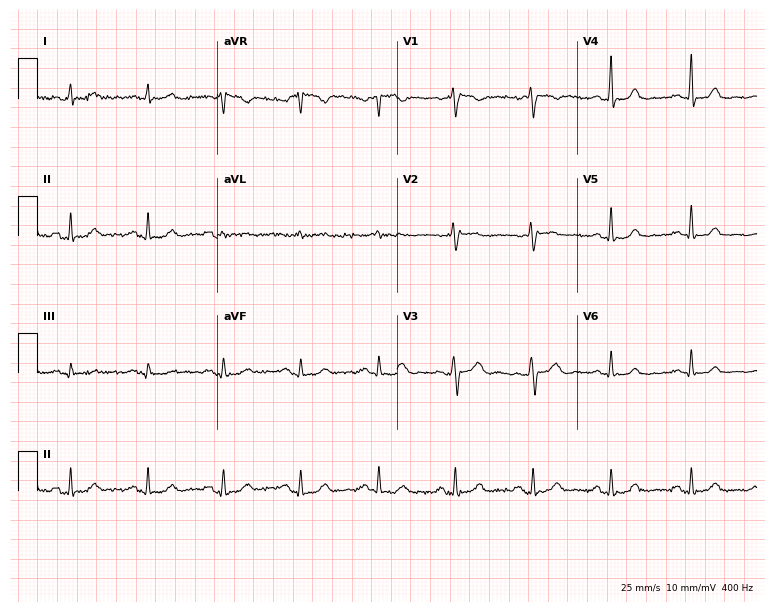
ECG — a 49-year-old female. Screened for six findings — first-degree AV block, right bundle branch block (RBBB), left bundle branch block (LBBB), sinus bradycardia, atrial fibrillation (AF), sinus tachycardia — none is recorded. Findings outside these six are not listed.